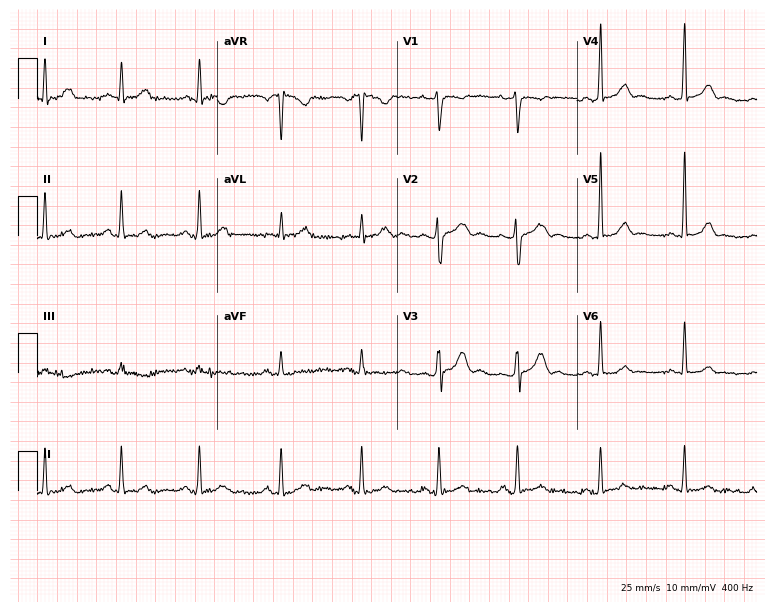
12-lead ECG (7.3-second recording at 400 Hz) from a 24-year-old man. Labelled as a normal ECG.